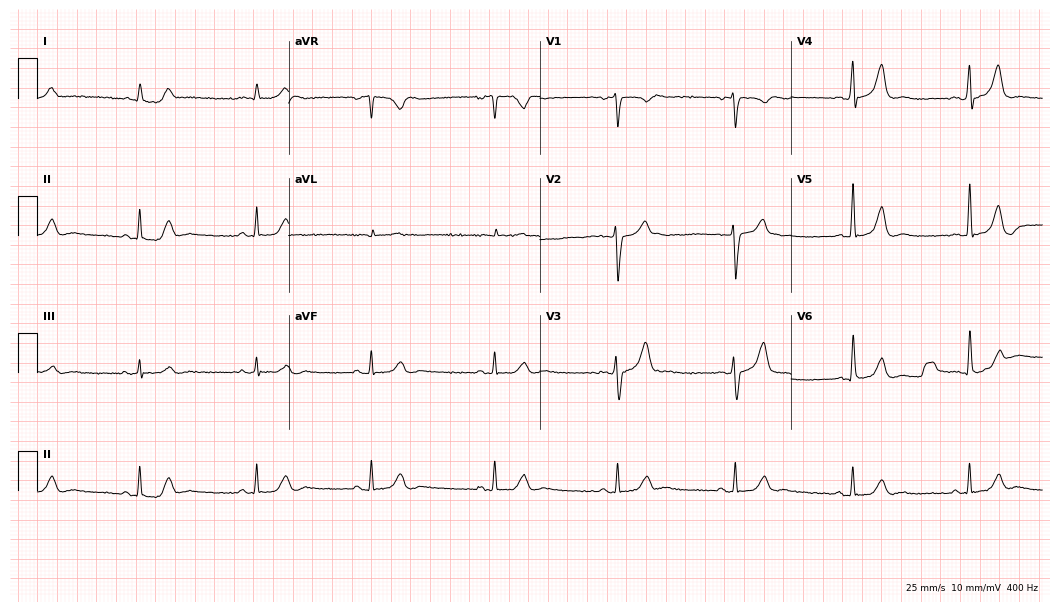
Resting 12-lead electrocardiogram. Patient: a 58-year-old male. Read as a normal ECG.